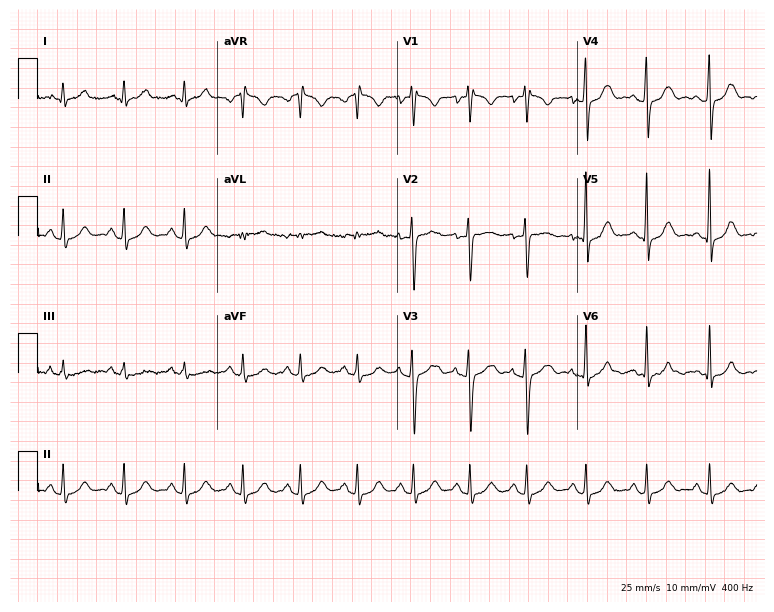
12-lead ECG from a 29-year-old woman (7.3-second recording at 400 Hz). Shows sinus tachycardia (a sinus rate of 100 beats per minute or more).